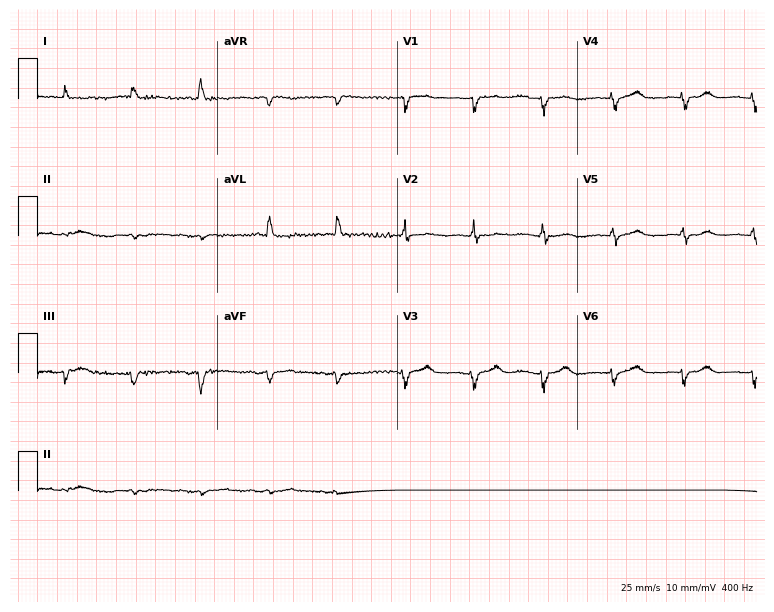
ECG — a woman, 85 years old. Screened for six findings — first-degree AV block, right bundle branch block, left bundle branch block, sinus bradycardia, atrial fibrillation, sinus tachycardia — none is recorded. Findings outside these six are not listed.